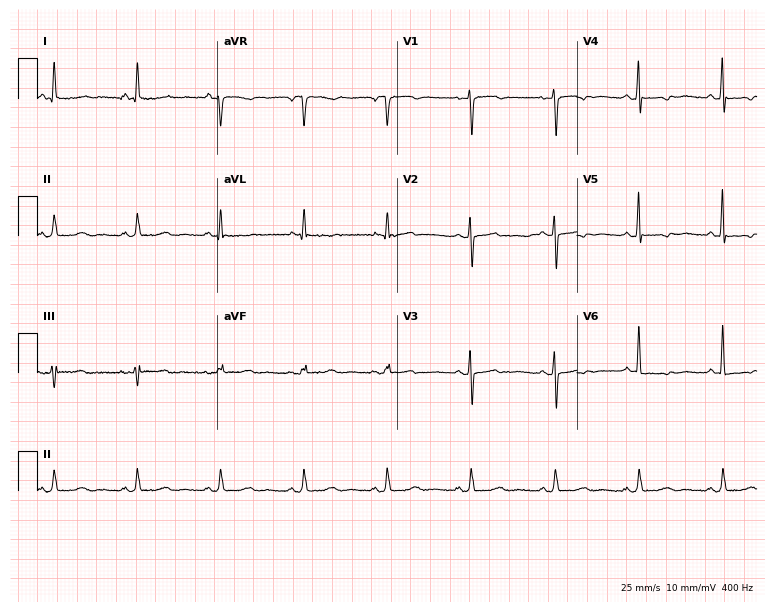
ECG — a 72-year-old woman. Screened for six findings — first-degree AV block, right bundle branch block, left bundle branch block, sinus bradycardia, atrial fibrillation, sinus tachycardia — none is recorded. Other findings, if any, are not listed.